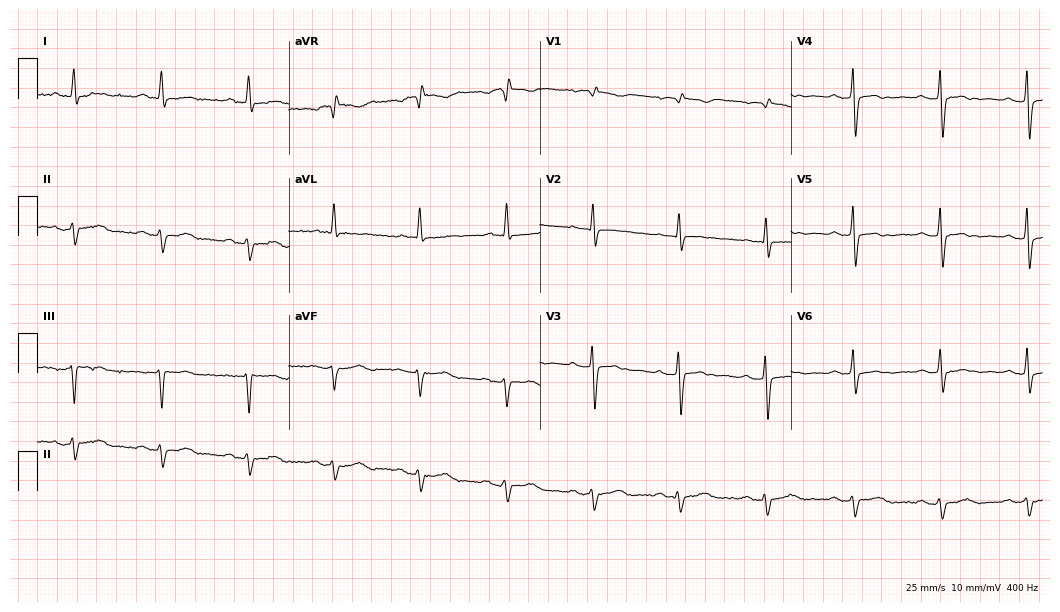
Standard 12-lead ECG recorded from a 75-year-old male patient. None of these six findings is recorded: first-degree AV block, right bundle branch block (RBBB), left bundle branch block (LBBB), sinus bradycardia, atrial fibrillation (AF), sinus tachycardia. Only these six findings were labelled.